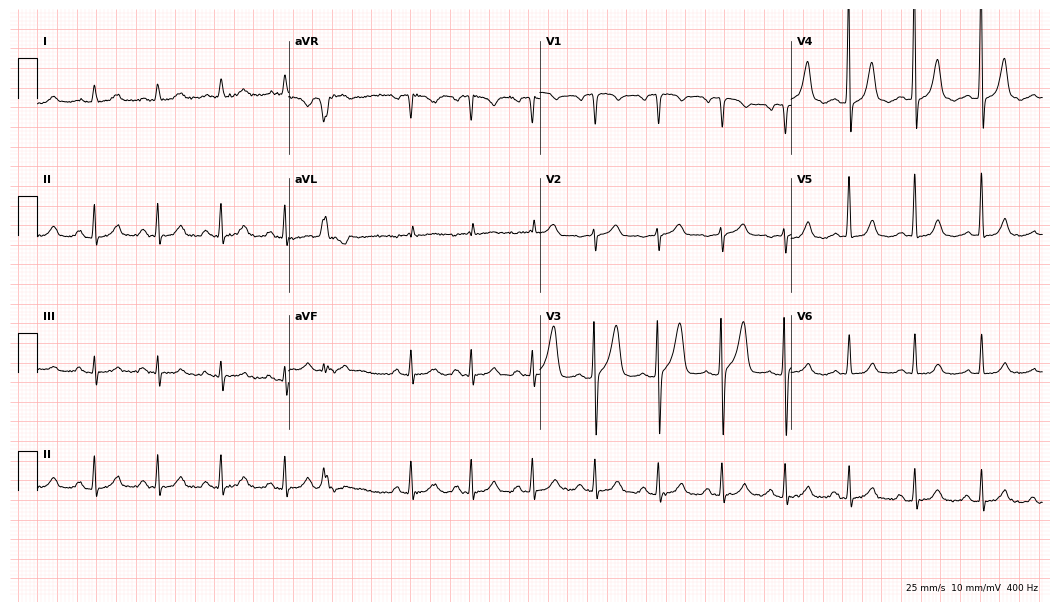
Electrocardiogram, an 80-year-old male patient. Overall reading on record: normal ECG.